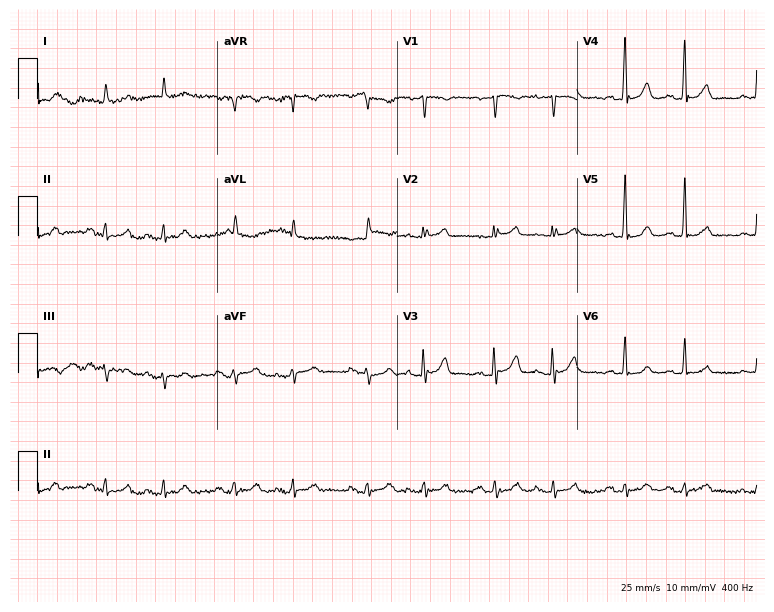
Electrocardiogram (7.3-second recording at 400 Hz), a man, 82 years old. Of the six screened findings (first-degree AV block, right bundle branch block (RBBB), left bundle branch block (LBBB), sinus bradycardia, atrial fibrillation (AF), sinus tachycardia), none is recorded.